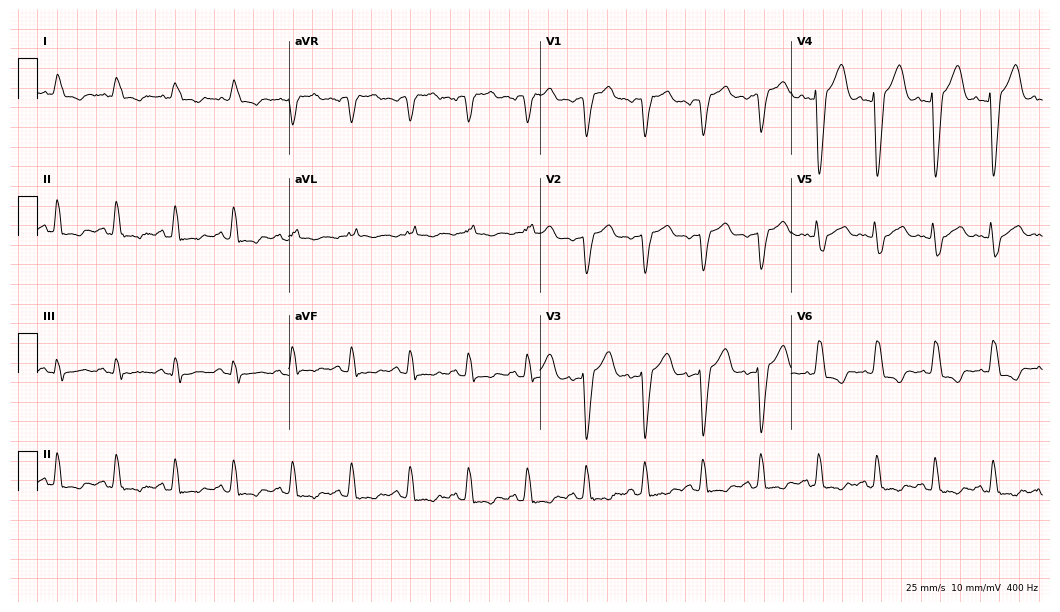
Electrocardiogram (10.2-second recording at 400 Hz), a woman, 85 years old. Interpretation includes left bundle branch block.